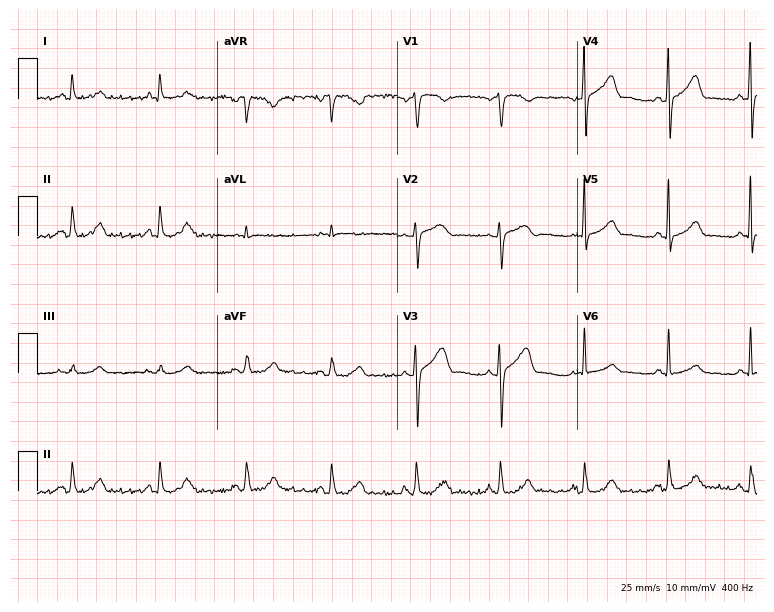
Electrocardiogram (7.3-second recording at 400 Hz), a male patient, 72 years old. Of the six screened findings (first-degree AV block, right bundle branch block (RBBB), left bundle branch block (LBBB), sinus bradycardia, atrial fibrillation (AF), sinus tachycardia), none is recorded.